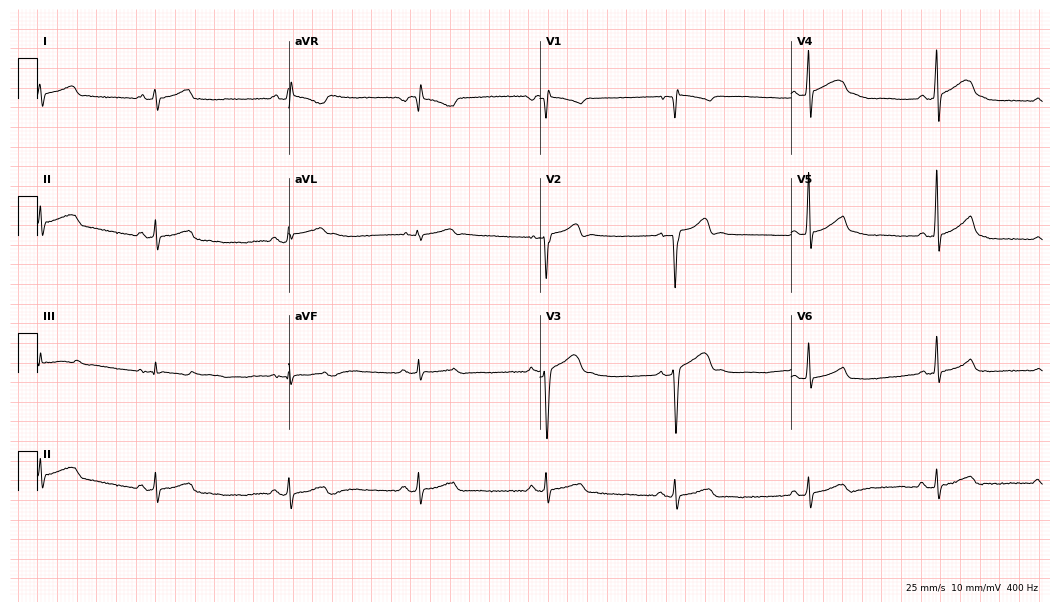
ECG (10.2-second recording at 400 Hz) — a male patient, 21 years old. Findings include sinus bradycardia (a sinus rate of 50 beats per minute or less).